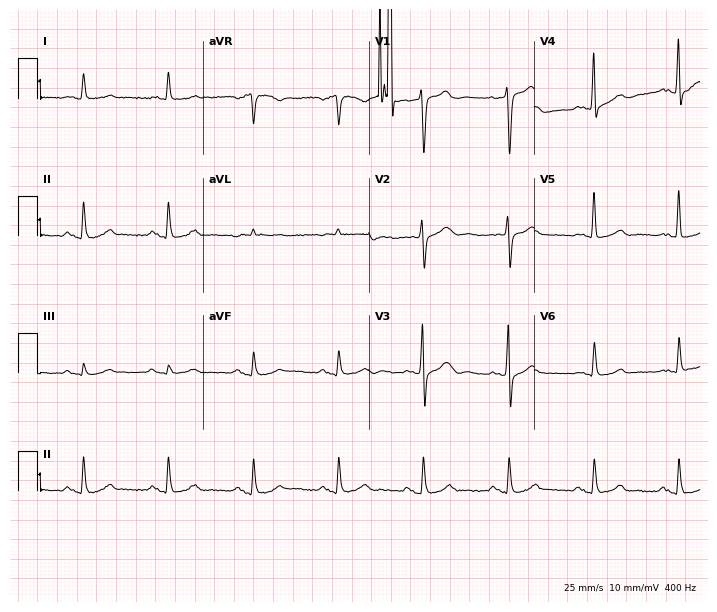
12-lead ECG from a man, 76 years old. No first-degree AV block, right bundle branch block, left bundle branch block, sinus bradycardia, atrial fibrillation or sinus tachycardia recorded for this tracing.